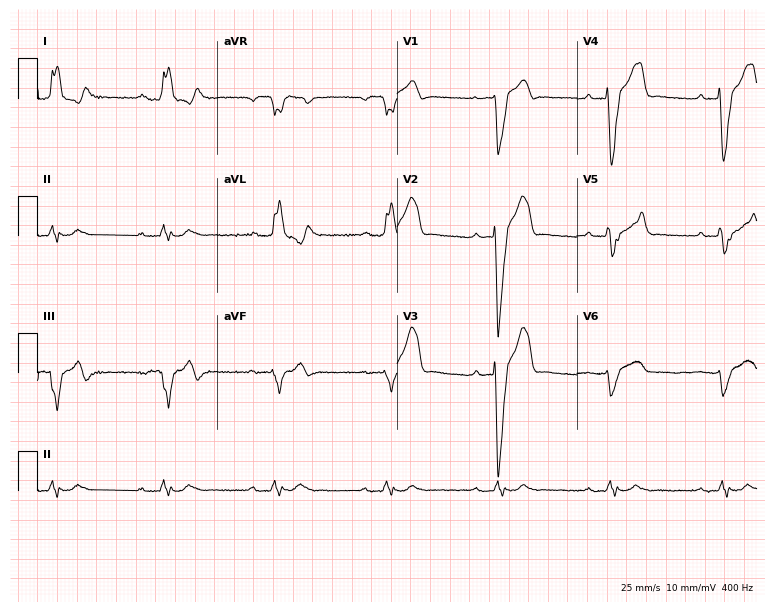
ECG (7.3-second recording at 400 Hz) — a 72-year-old male patient. Findings include first-degree AV block, left bundle branch block.